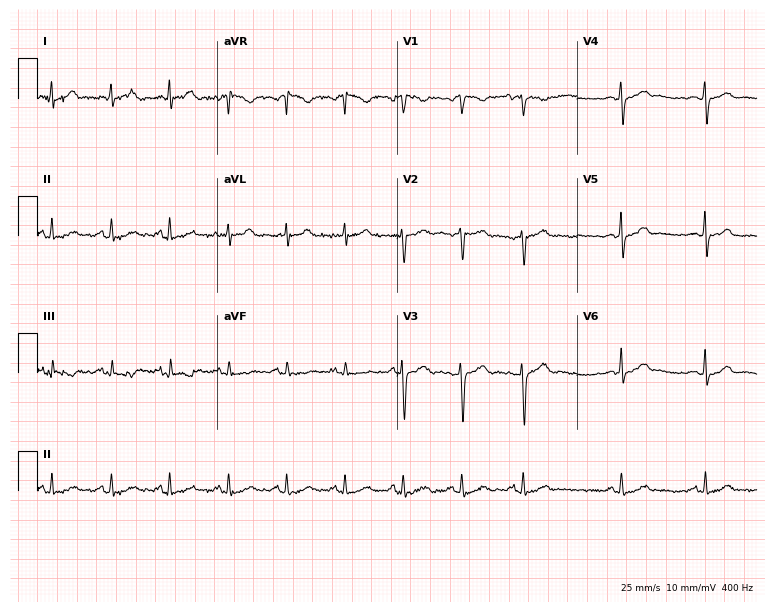
12-lead ECG (7.3-second recording at 400 Hz) from a female patient, 32 years old. Screened for six findings — first-degree AV block, right bundle branch block, left bundle branch block, sinus bradycardia, atrial fibrillation, sinus tachycardia — none is recorded. Other findings, if any, are not listed.